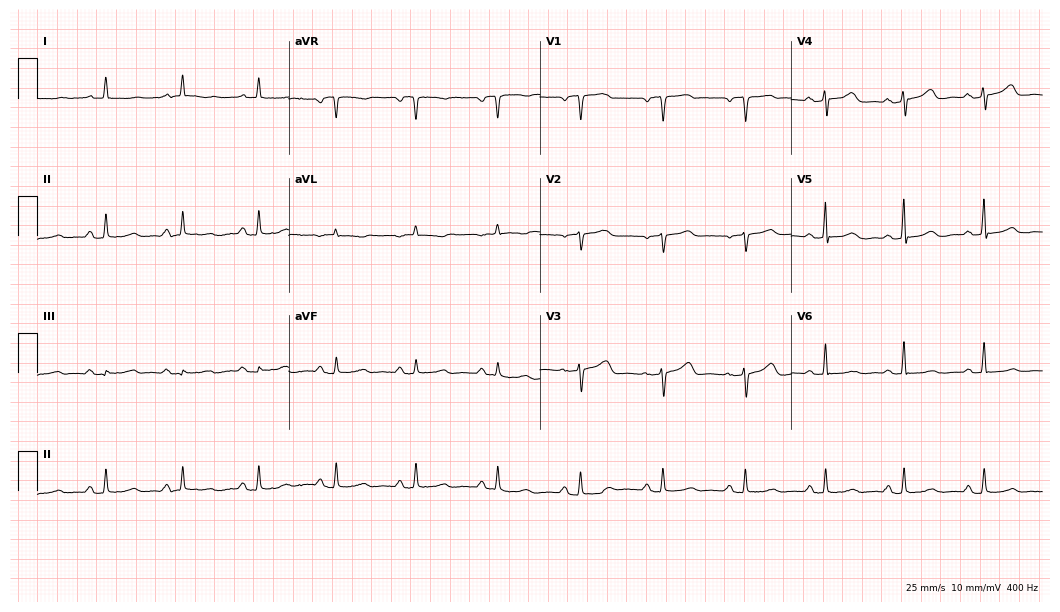
12-lead ECG from a 66-year-old female patient. Screened for six findings — first-degree AV block, right bundle branch block (RBBB), left bundle branch block (LBBB), sinus bradycardia, atrial fibrillation (AF), sinus tachycardia — none is recorded.